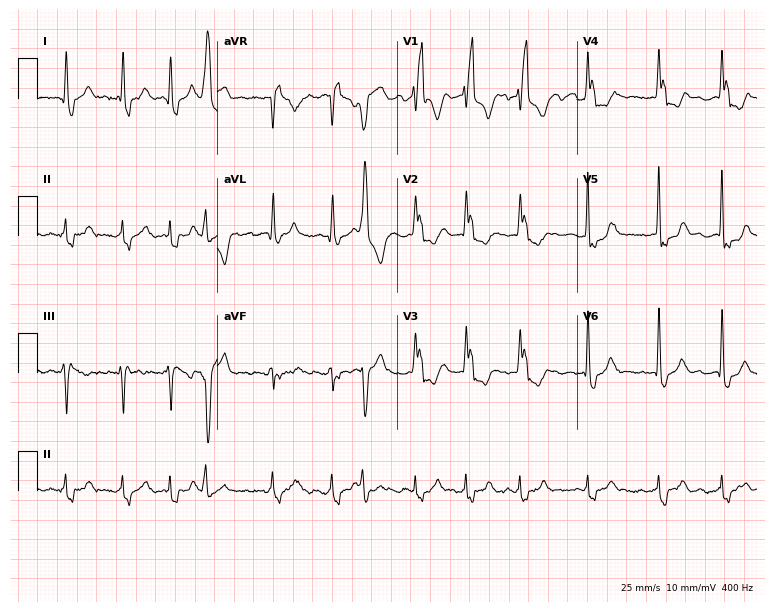
Standard 12-lead ECG recorded from an 81-year-old female. The tracing shows right bundle branch block (RBBB), atrial fibrillation (AF).